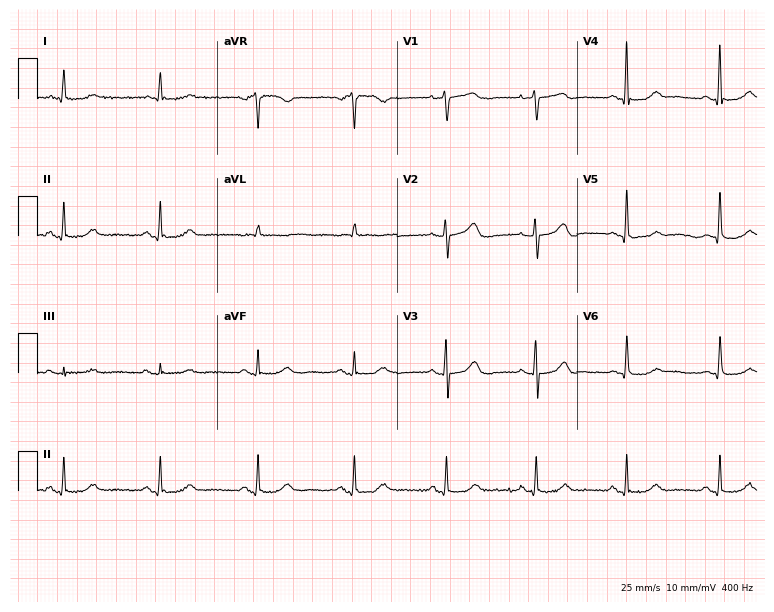
Standard 12-lead ECG recorded from a 69-year-old woman. None of these six findings is recorded: first-degree AV block, right bundle branch block, left bundle branch block, sinus bradycardia, atrial fibrillation, sinus tachycardia. Only these six findings were labelled.